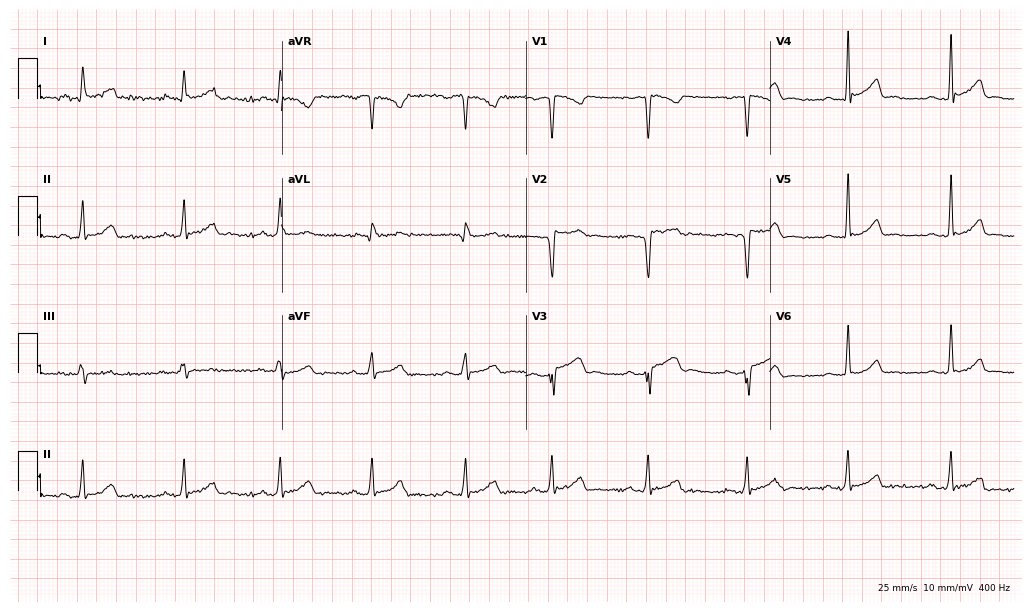
Resting 12-lead electrocardiogram. Patient: a male, 34 years old. None of these six findings is recorded: first-degree AV block, right bundle branch block, left bundle branch block, sinus bradycardia, atrial fibrillation, sinus tachycardia. Other findings, if any, are not listed.